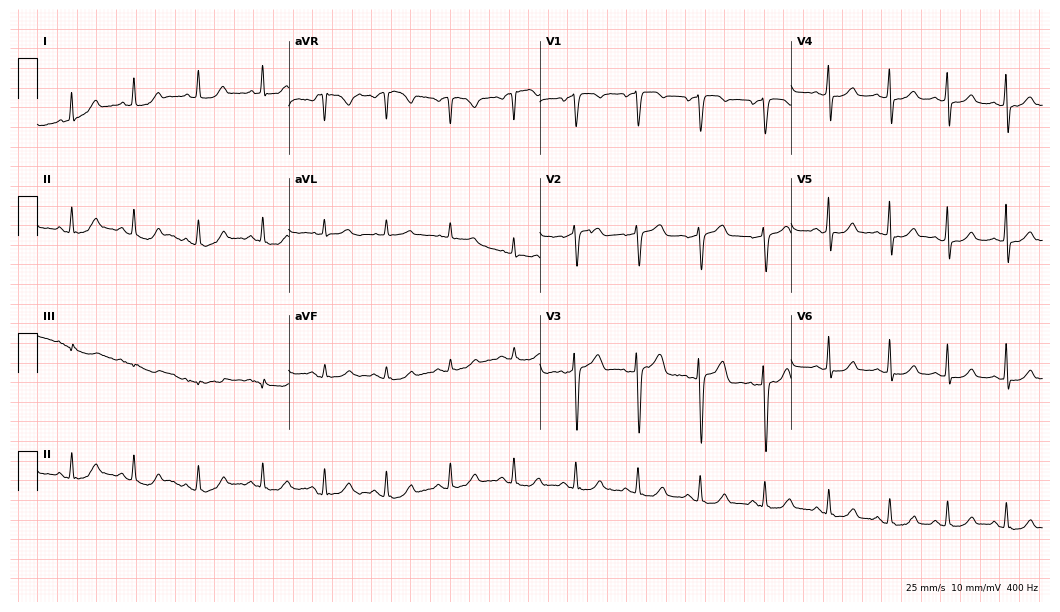
Electrocardiogram (10.2-second recording at 400 Hz), a female, 60 years old. Overall reading on record: normal ECG.